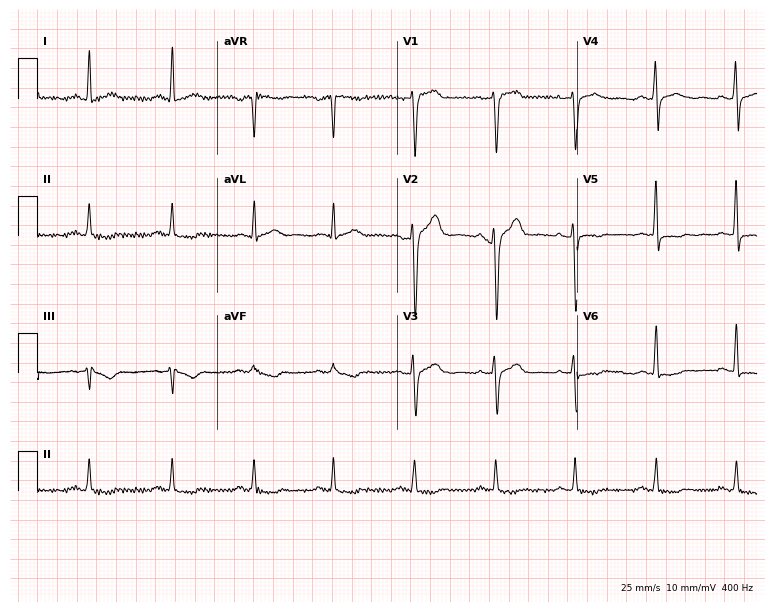
Electrocardiogram, a 42-year-old male. Of the six screened findings (first-degree AV block, right bundle branch block, left bundle branch block, sinus bradycardia, atrial fibrillation, sinus tachycardia), none is recorded. Other findings, if any, are not listed.